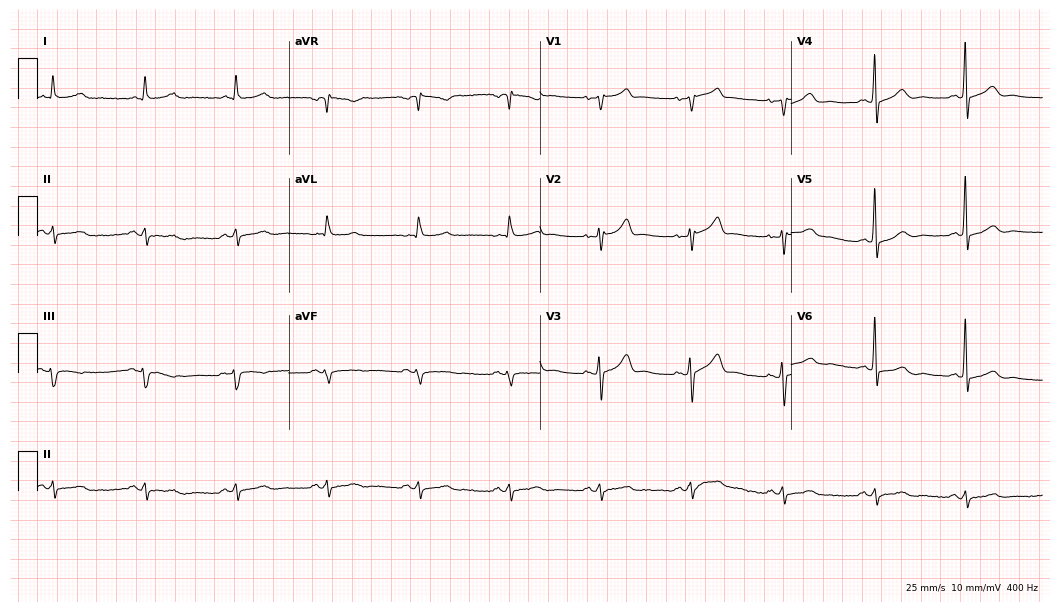
Resting 12-lead electrocardiogram. Patient: a 68-year-old man. None of these six findings is recorded: first-degree AV block, right bundle branch block (RBBB), left bundle branch block (LBBB), sinus bradycardia, atrial fibrillation (AF), sinus tachycardia. Only these six findings were labelled.